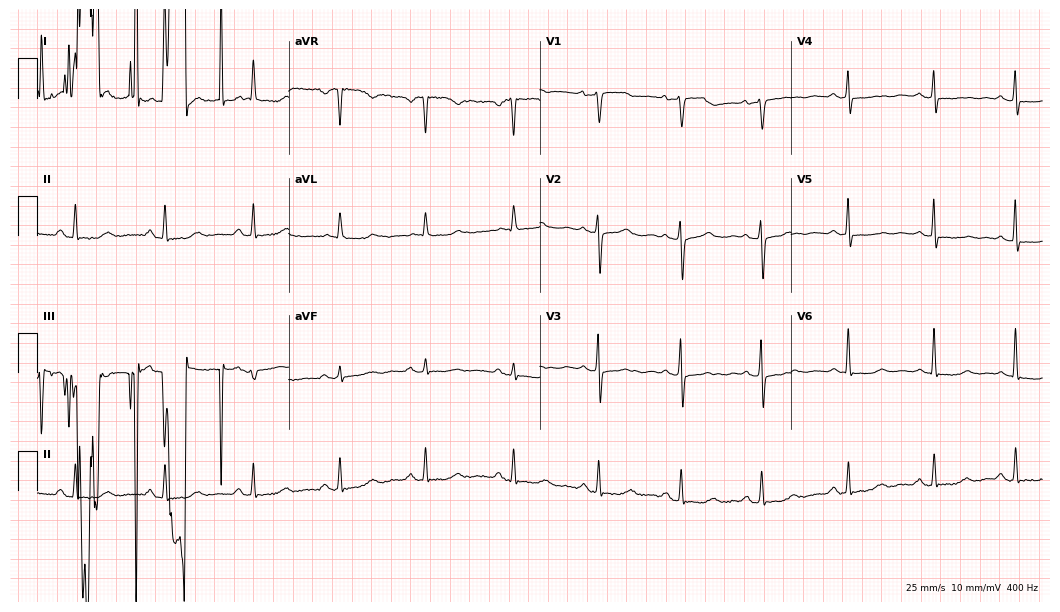
Standard 12-lead ECG recorded from a woman, 56 years old (10.2-second recording at 400 Hz). None of these six findings is recorded: first-degree AV block, right bundle branch block, left bundle branch block, sinus bradycardia, atrial fibrillation, sinus tachycardia. Findings outside these six are not listed.